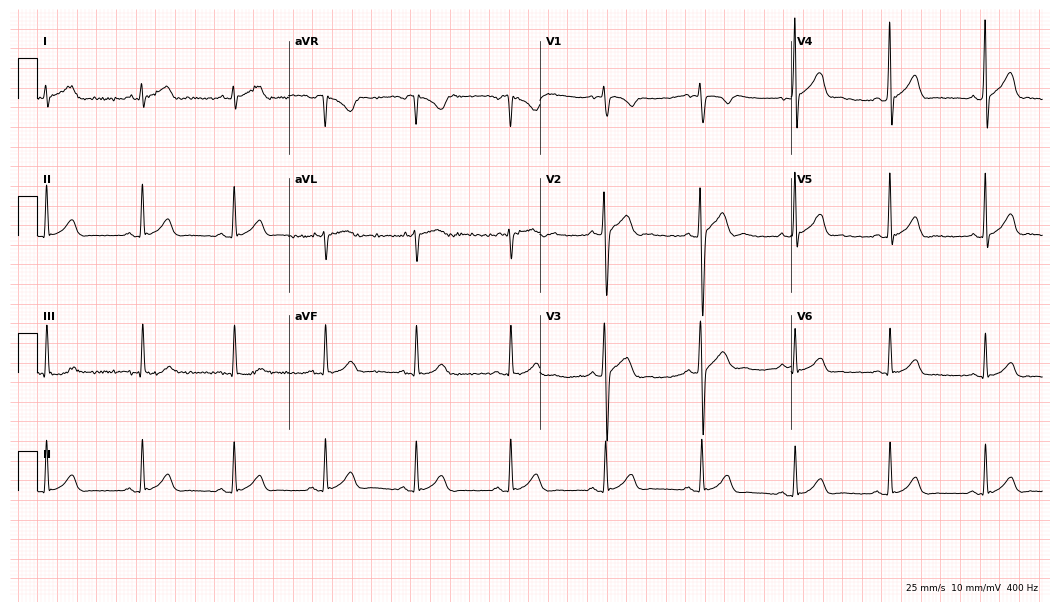
ECG (10.2-second recording at 400 Hz) — a male patient, 18 years old. Screened for six findings — first-degree AV block, right bundle branch block (RBBB), left bundle branch block (LBBB), sinus bradycardia, atrial fibrillation (AF), sinus tachycardia — none is recorded. Findings outside these six are not listed.